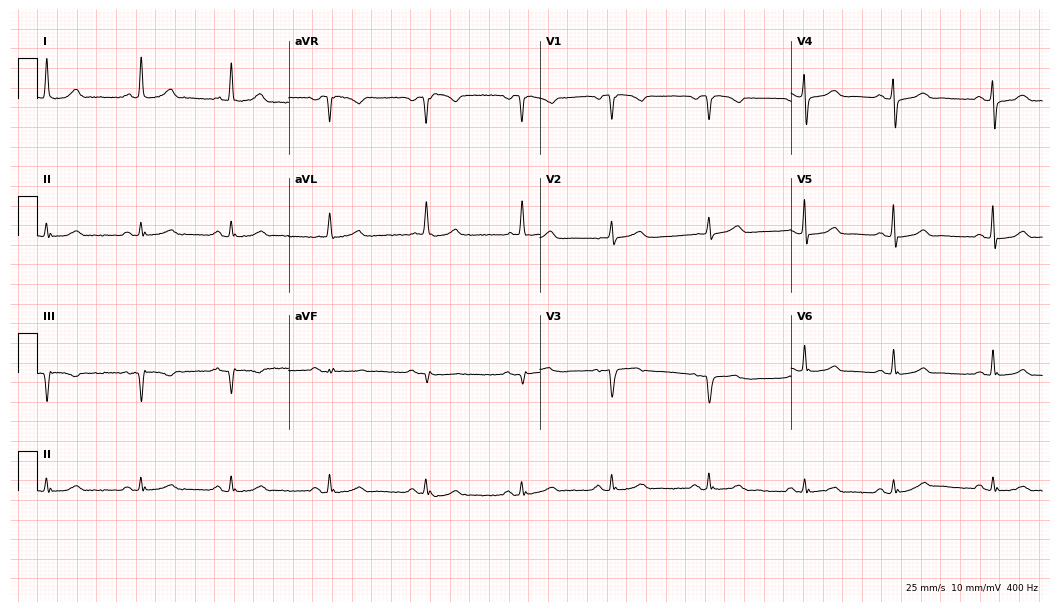
12-lead ECG from an 83-year-old woman (10.2-second recording at 400 Hz). No first-degree AV block, right bundle branch block (RBBB), left bundle branch block (LBBB), sinus bradycardia, atrial fibrillation (AF) or sinus tachycardia recorded for this tracing.